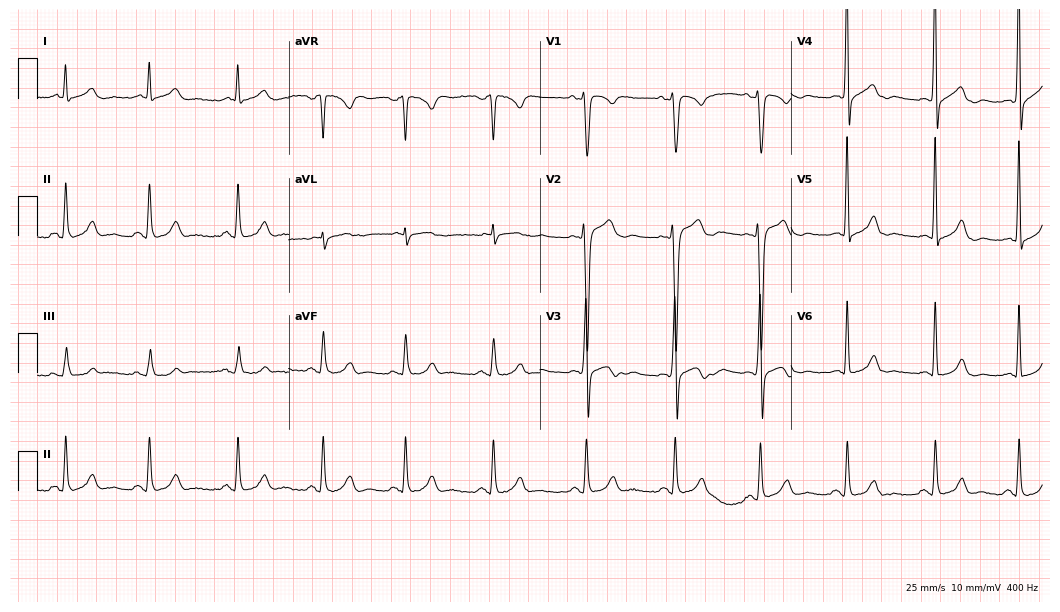
12-lead ECG from a man, 36 years old. No first-degree AV block, right bundle branch block, left bundle branch block, sinus bradycardia, atrial fibrillation or sinus tachycardia recorded for this tracing. Findings outside these six are not listed.